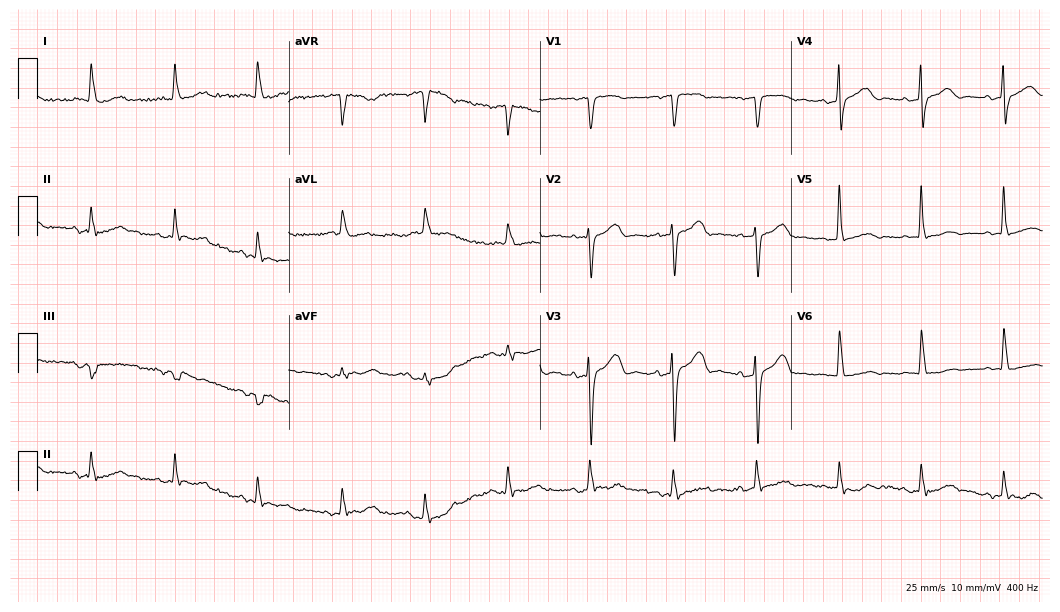
12-lead ECG from a female, 84 years old. Screened for six findings — first-degree AV block, right bundle branch block, left bundle branch block, sinus bradycardia, atrial fibrillation, sinus tachycardia — none is recorded.